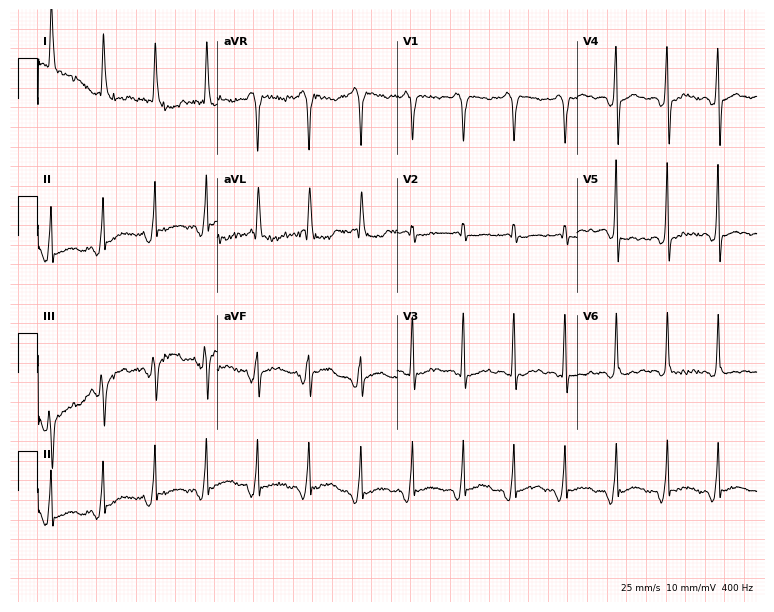
12-lead ECG from a 69-year-old female patient (7.3-second recording at 400 Hz). No first-degree AV block, right bundle branch block, left bundle branch block, sinus bradycardia, atrial fibrillation or sinus tachycardia recorded for this tracing.